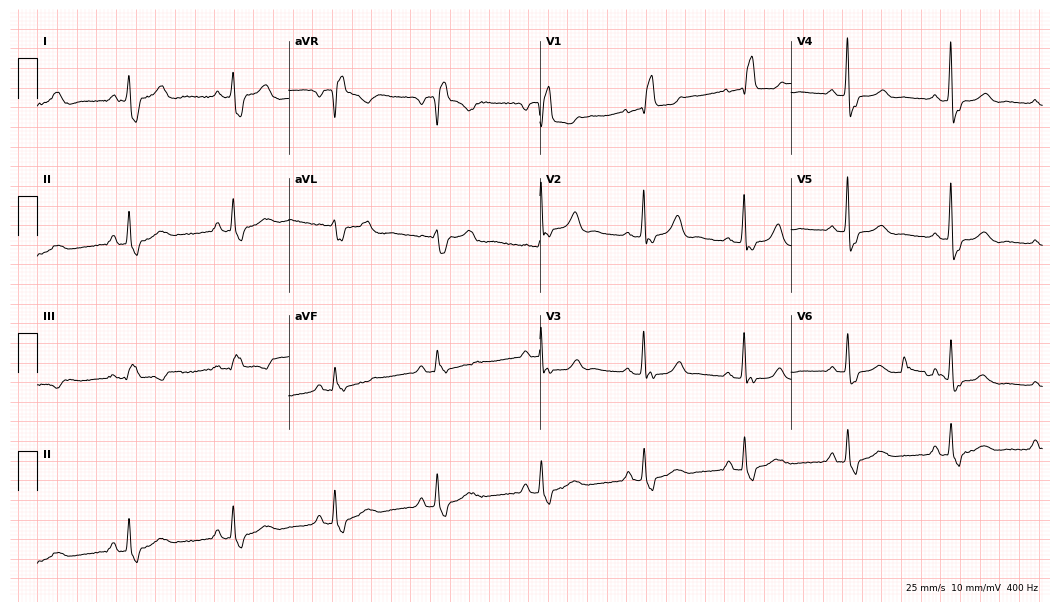
12-lead ECG (10.2-second recording at 400 Hz) from a female patient, 73 years old. Findings include right bundle branch block.